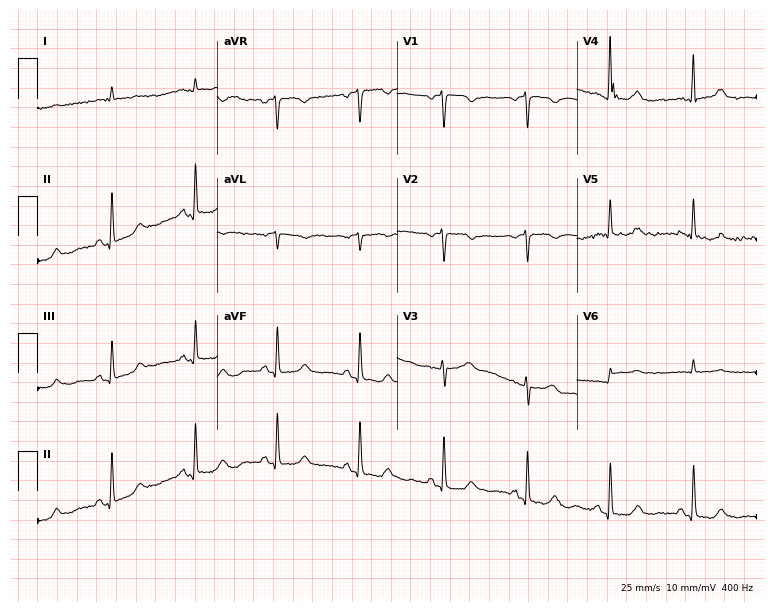
ECG (7.3-second recording at 400 Hz) — an 80-year-old woman. Screened for six findings — first-degree AV block, right bundle branch block, left bundle branch block, sinus bradycardia, atrial fibrillation, sinus tachycardia — none is recorded.